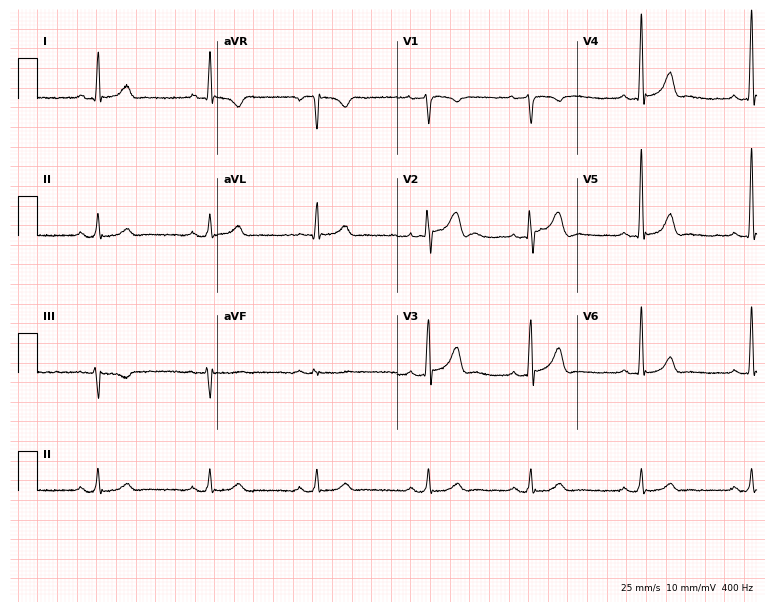
12-lead ECG from a male patient, 35 years old. No first-degree AV block, right bundle branch block, left bundle branch block, sinus bradycardia, atrial fibrillation or sinus tachycardia recorded for this tracing. Only these six findings were labelled.